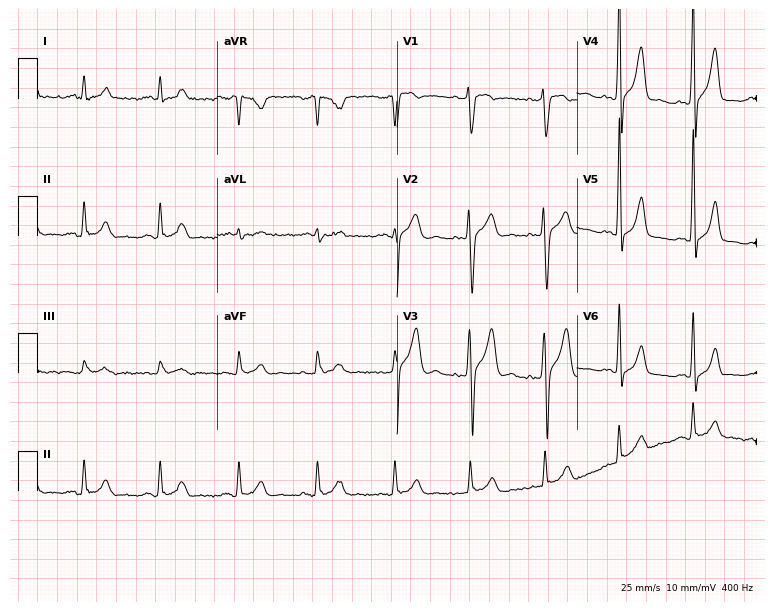
12-lead ECG from a male, 36 years old (7.3-second recording at 400 Hz). No first-degree AV block, right bundle branch block (RBBB), left bundle branch block (LBBB), sinus bradycardia, atrial fibrillation (AF) or sinus tachycardia recorded for this tracing. Only these six findings were labelled.